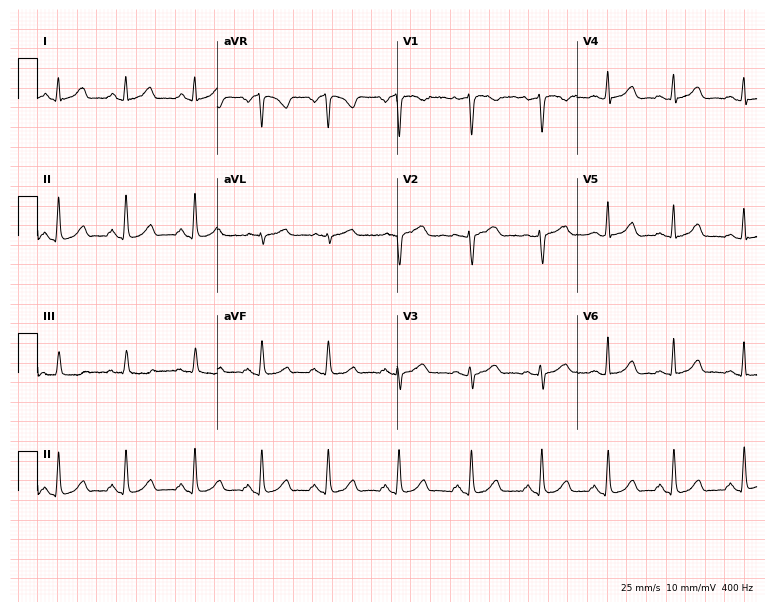
12-lead ECG from a 32-year-old female patient. Labelled as a normal ECG.